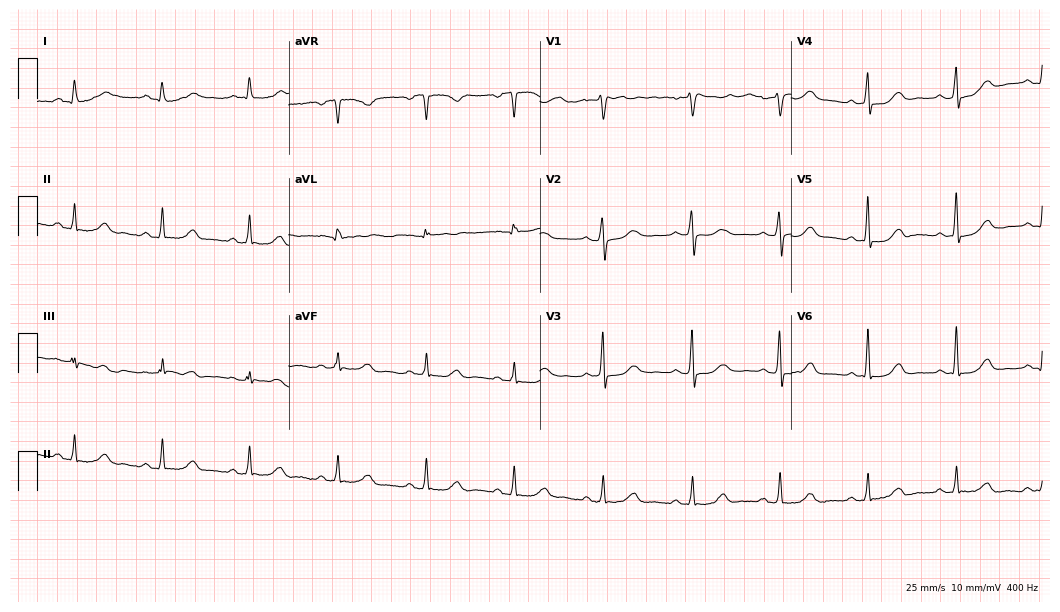
Electrocardiogram (10.2-second recording at 400 Hz), a 71-year-old woman. Overall reading on record: normal ECG.